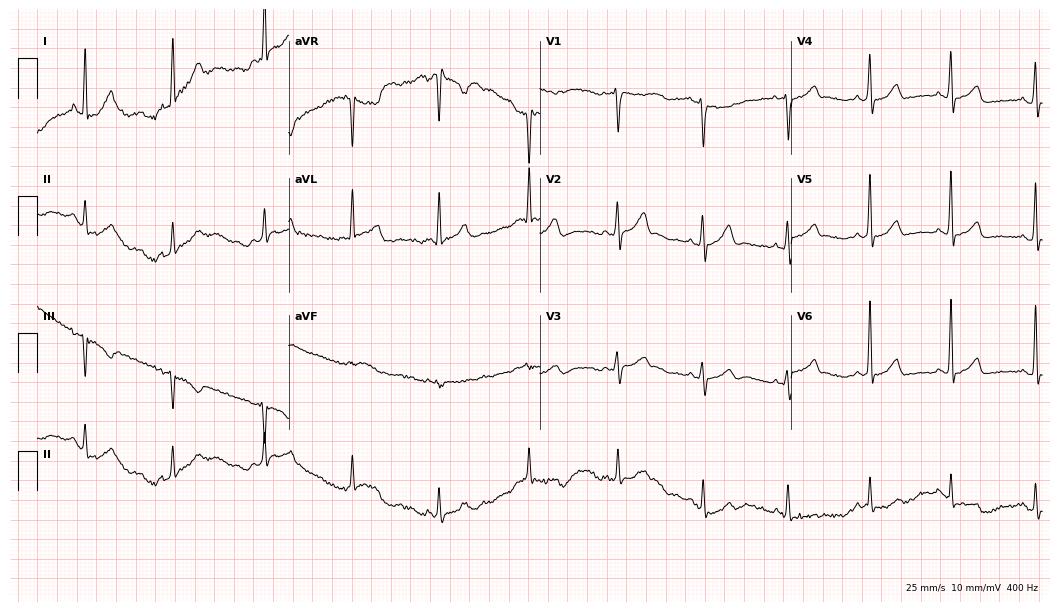
Electrocardiogram (10.2-second recording at 400 Hz), a woman, 39 years old. Of the six screened findings (first-degree AV block, right bundle branch block, left bundle branch block, sinus bradycardia, atrial fibrillation, sinus tachycardia), none is recorded. Other findings, if any, are not listed.